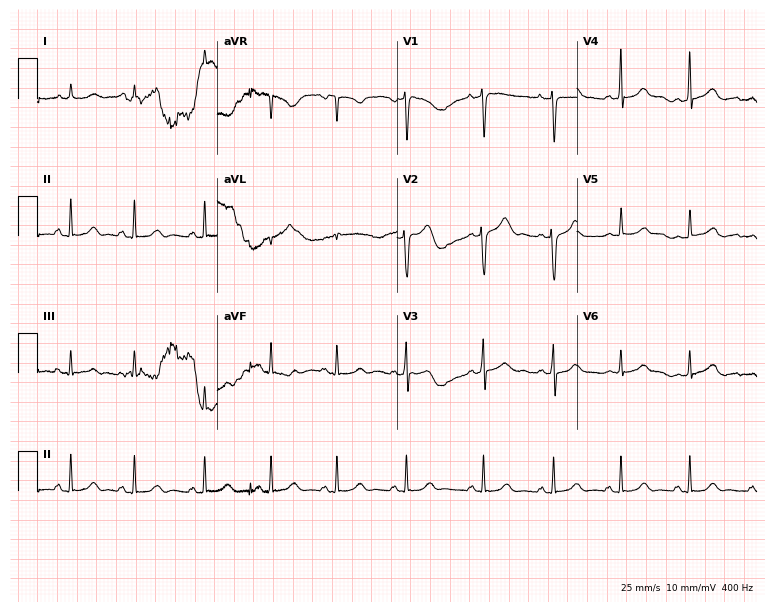
ECG (7.3-second recording at 400 Hz) — a female, 19 years old. Screened for six findings — first-degree AV block, right bundle branch block, left bundle branch block, sinus bradycardia, atrial fibrillation, sinus tachycardia — none is recorded. Findings outside these six are not listed.